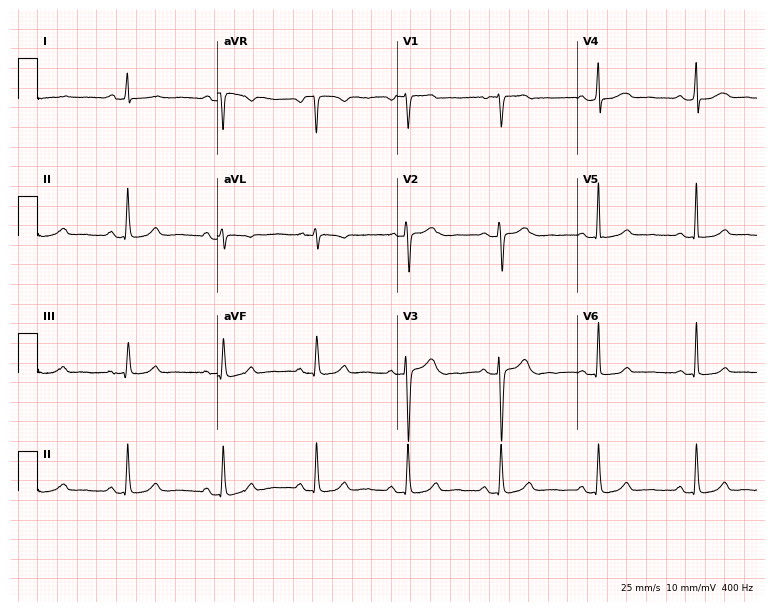
Standard 12-lead ECG recorded from a 25-year-old female patient (7.3-second recording at 400 Hz). None of these six findings is recorded: first-degree AV block, right bundle branch block (RBBB), left bundle branch block (LBBB), sinus bradycardia, atrial fibrillation (AF), sinus tachycardia.